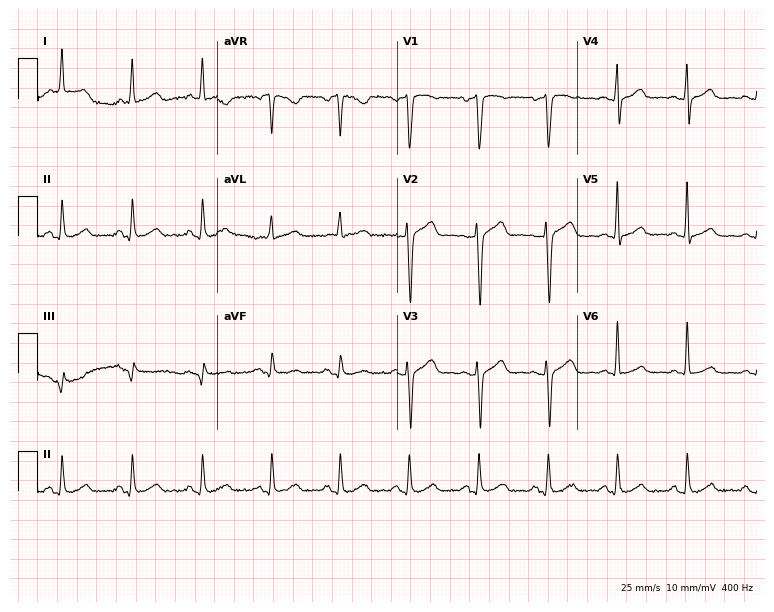
ECG — a female patient, 65 years old. Labelled as a normal ECG.